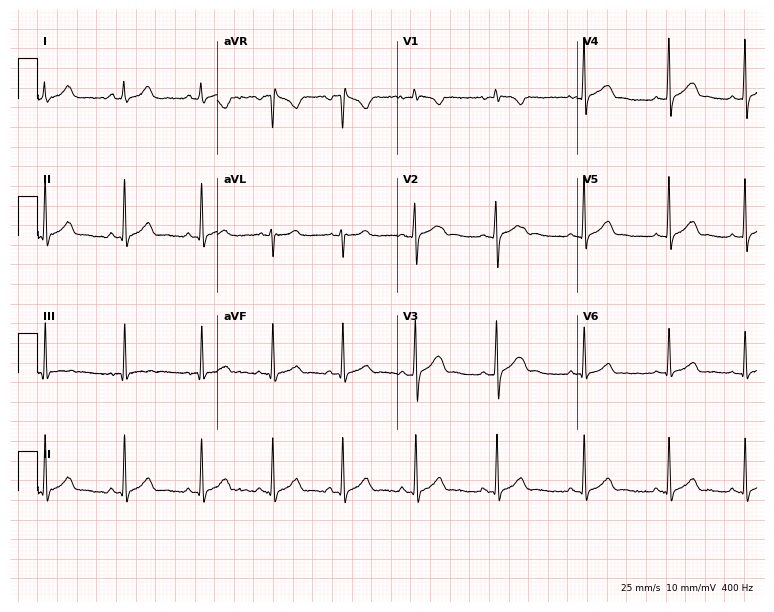
Electrocardiogram, a female patient, 20 years old. Overall reading on record: normal ECG.